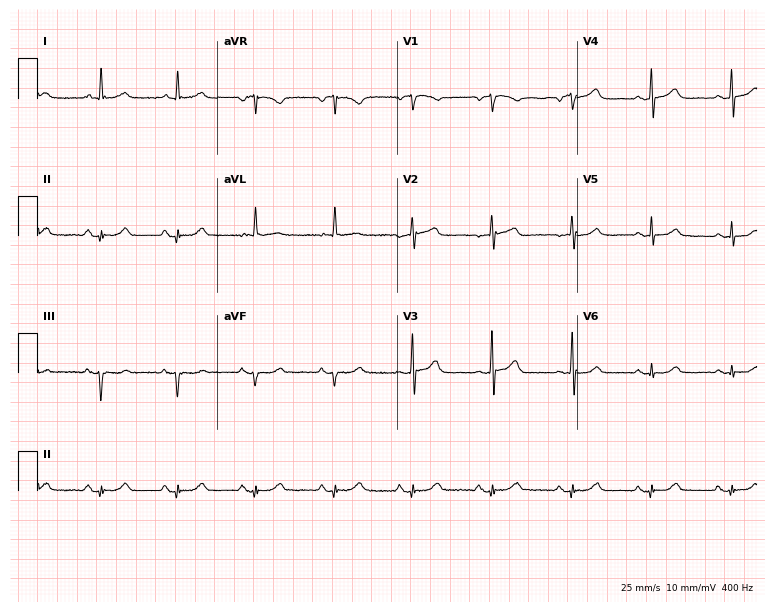
12-lead ECG from a woman, 76 years old. No first-degree AV block, right bundle branch block (RBBB), left bundle branch block (LBBB), sinus bradycardia, atrial fibrillation (AF) or sinus tachycardia recorded for this tracing. Other findings, if any, are not listed.